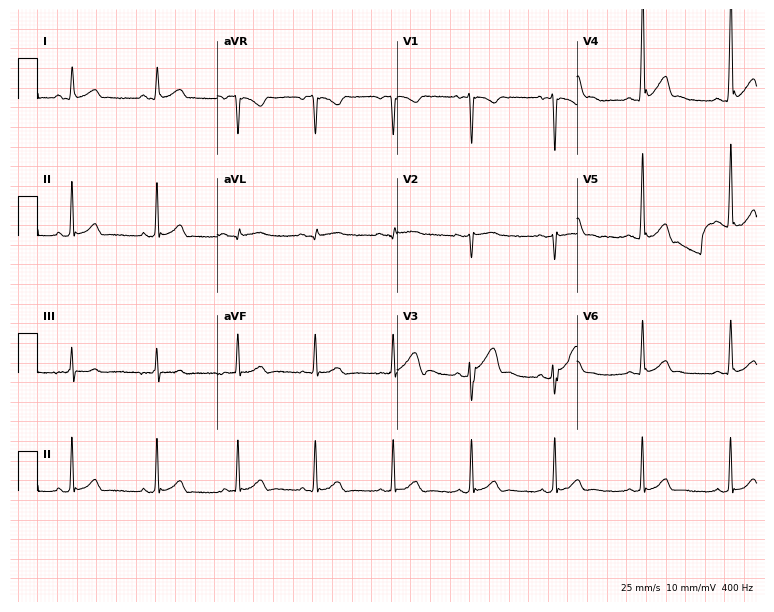
12-lead ECG from a male, 21 years old. Screened for six findings — first-degree AV block, right bundle branch block (RBBB), left bundle branch block (LBBB), sinus bradycardia, atrial fibrillation (AF), sinus tachycardia — none is recorded.